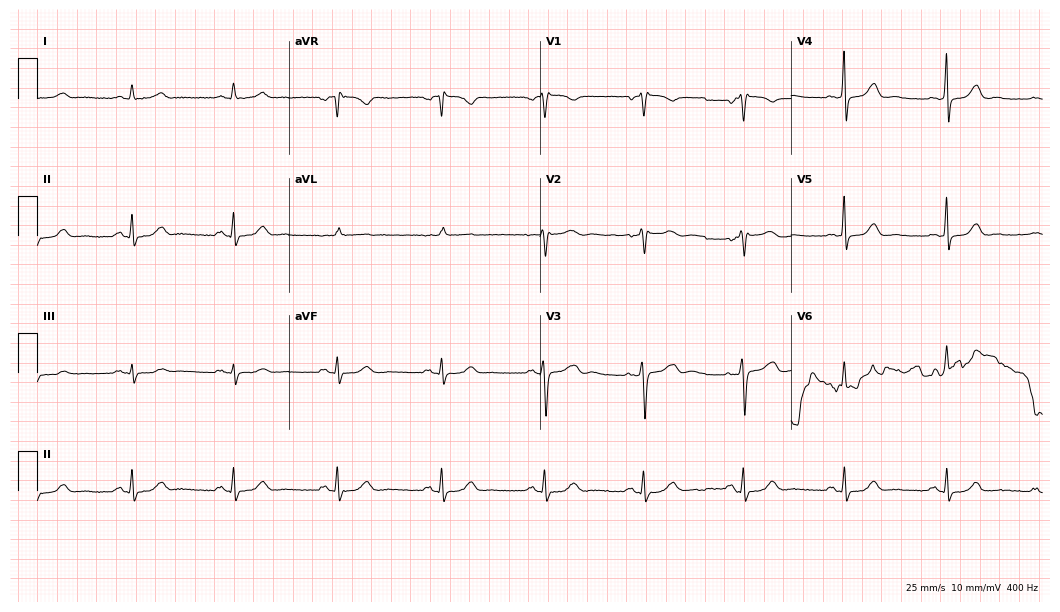
12-lead ECG from a 56-year-old female (10.2-second recording at 400 Hz). No first-degree AV block, right bundle branch block, left bundle branch block, sinus bradycardia, atrial fibrillation or sinus tachycardia recorded for this tracing. Only these six findings were labelled.